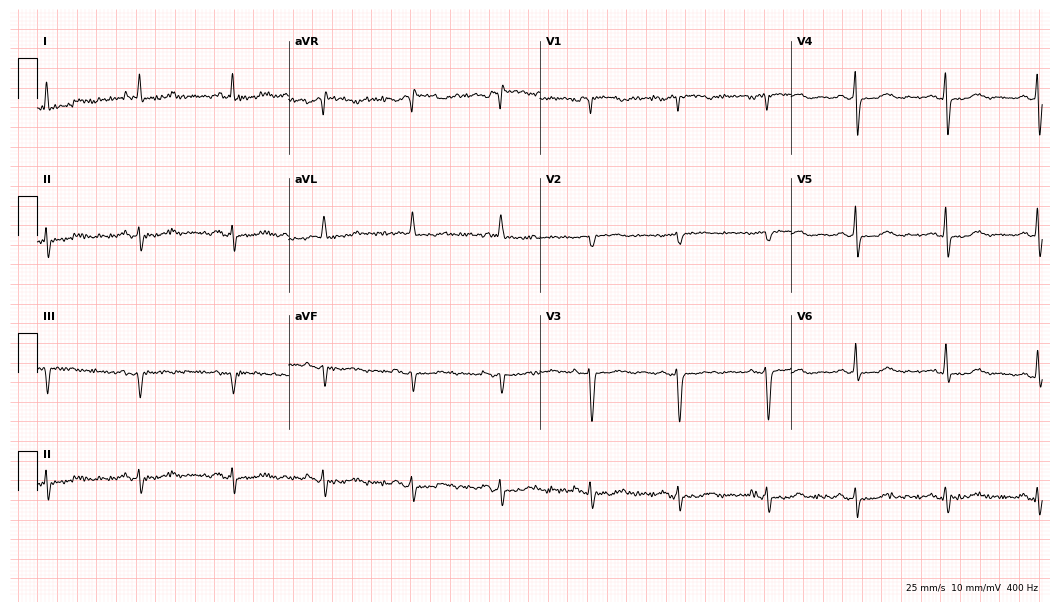
ECG (10.2-second recording at 400 Hz) — a 79-year-old female patient. Screened for six findings — first-degree AV block, right bundle branch block (RBBB), left bundle branch block (LBBB), sinus bradycardia, atrial fibrillation (AF), sinus tachycardia — none is recorded.